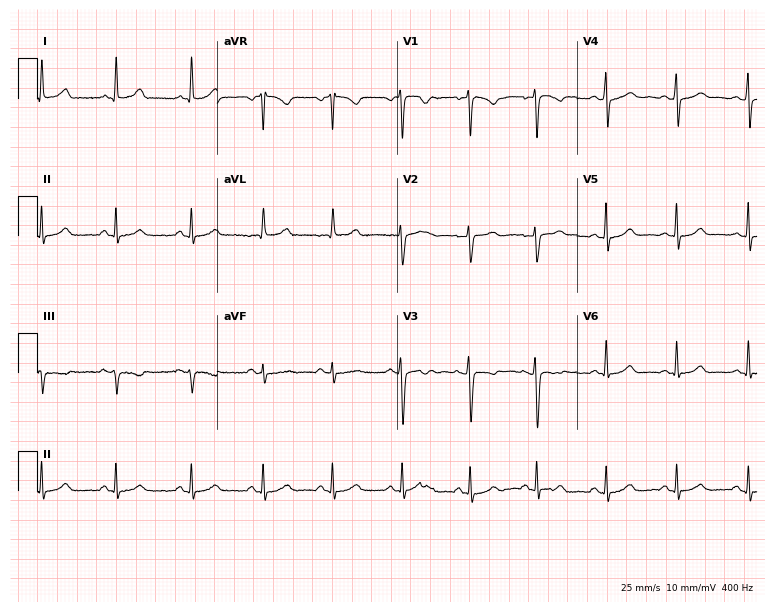
12-lead ECG from a male, 39 years old. Labelled as a normal ECG.